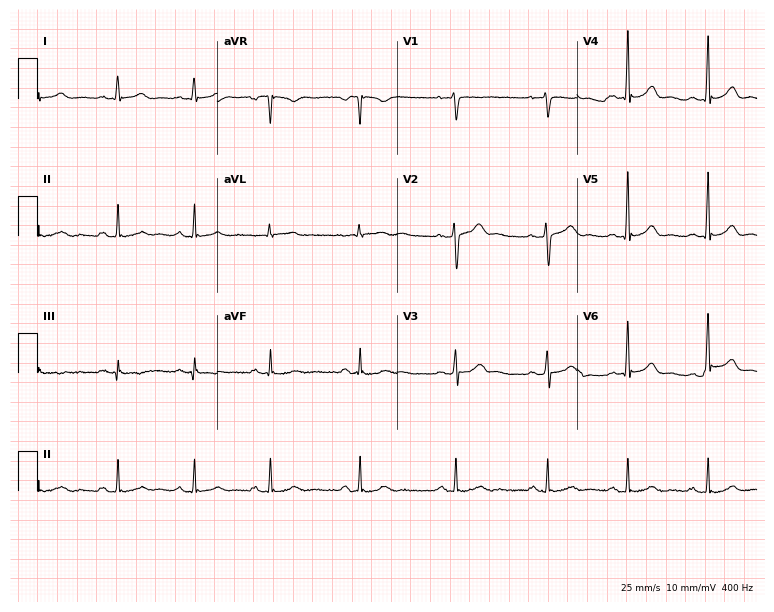
12-lead ECG from a woman, 28 years old (7.3-second recording at 400 Hz). Recorded interpretation: within normal limits.